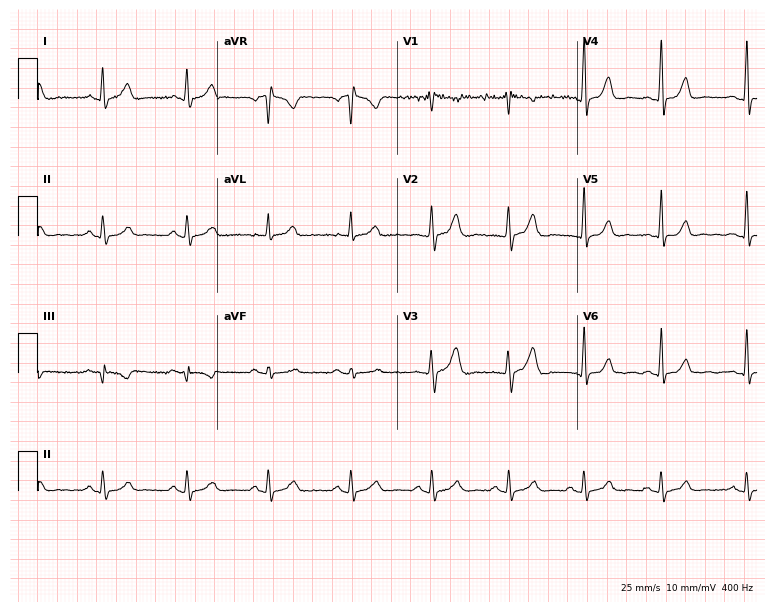
Electrocardiogram (7.3-second recording at 400 Hz), a 45-year-old man. Of the six screened findings (first-degree AV block, right bundle branch block (RBBB), left bundle branch block (LBBB), sinus bradycardia, atrial fibrillation (AF), sinus tachycardia), none is recorded. Only these six findings were labelled.